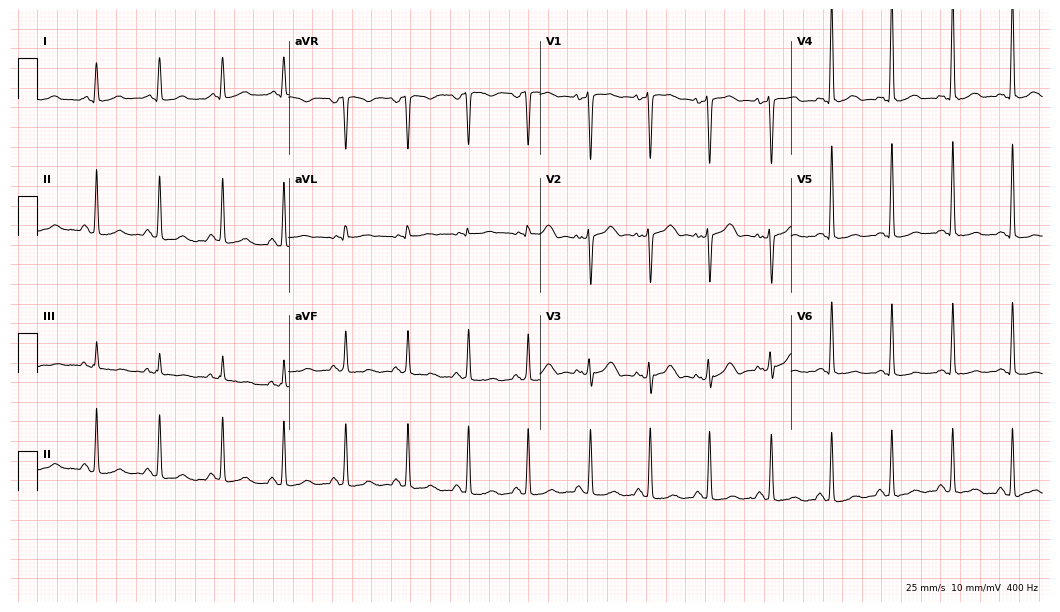
ECG (10.2-second recording at 400 Hz) — a 39-year-old female. Labelled as a normal ECG.